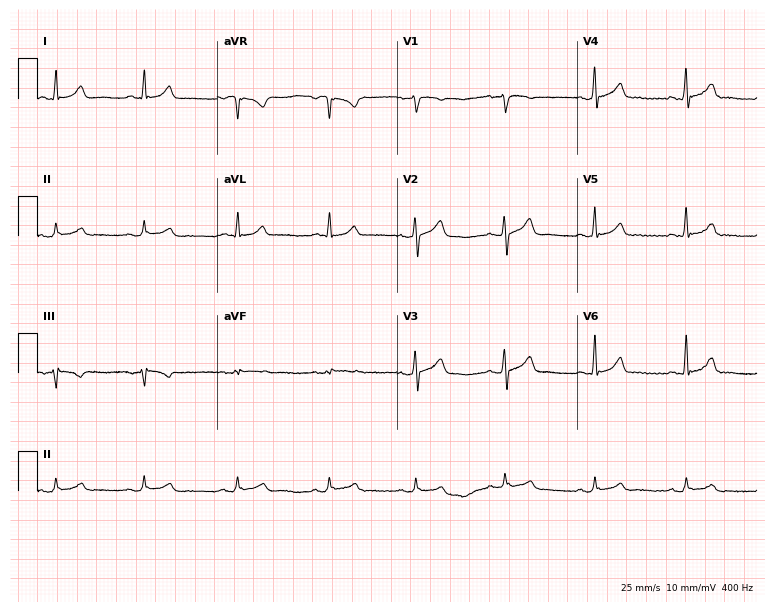
Electrocardiogram (7.3-second recording at 400 Hz), a 34-year-old male. Overall reading on record: normal ECG.